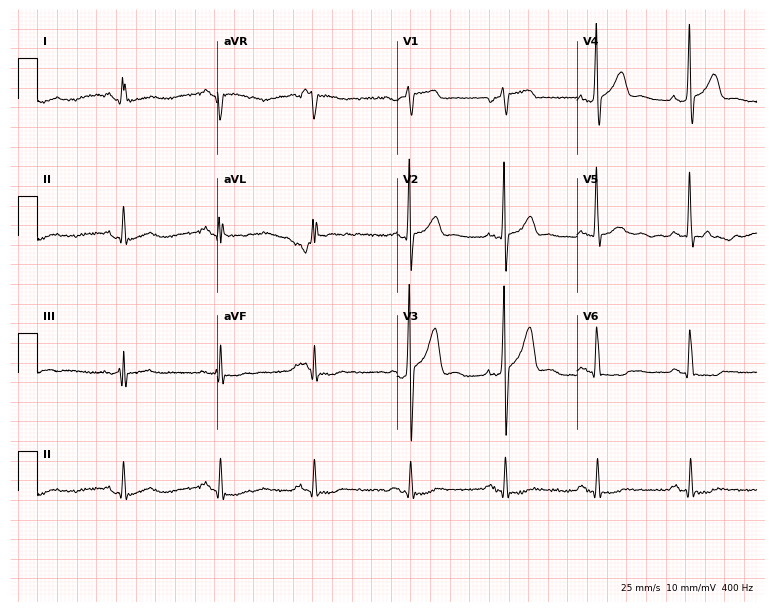
Resting 12-lead electrocardiogram. Patient: a male, 57 years old. None of these six findings is recorded: first-degree AV block, right bundle branch block, left bundle branch block, sinus bradycardia, atrial fibrillation, sinus tachycardia.